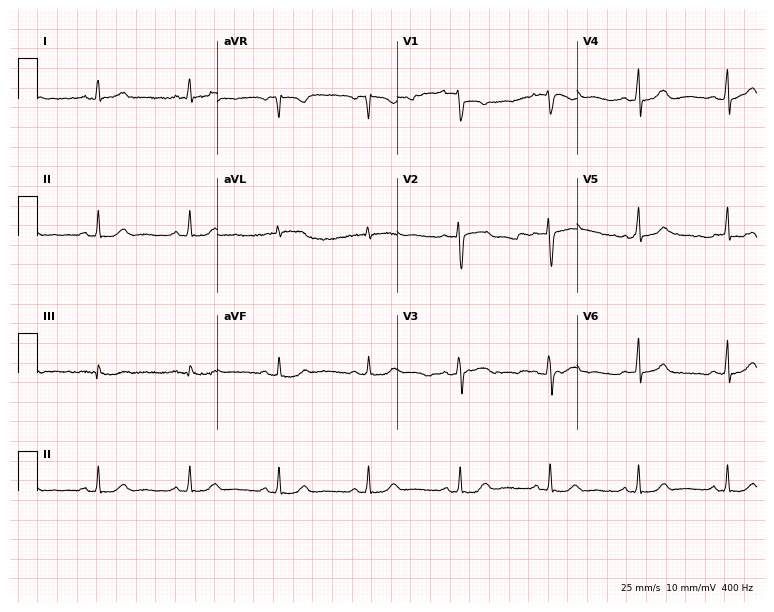
Standard 12-lead ECG recorded from a female, 37 years old (7.3-second recording at 400 Hz). Read as a normal ECG.